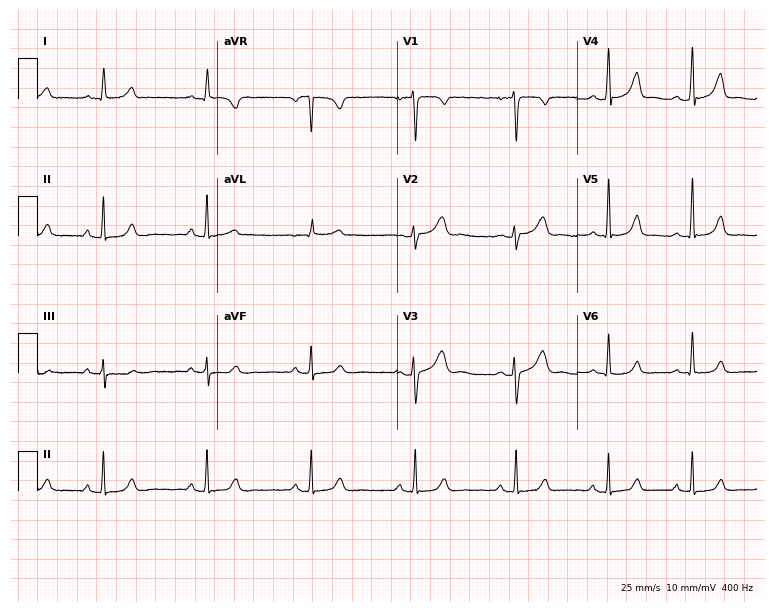
Standard 12-lead ECG recorded from a 31-year-old woman (7.3-second recording at 400 Hz). Read as a normal ECG.